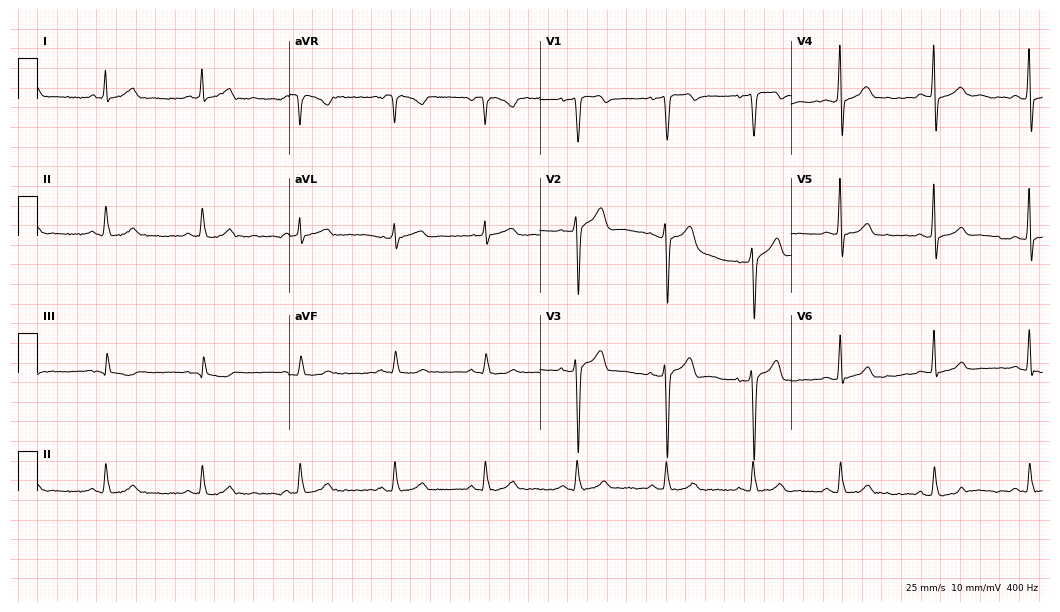
12-lead ECG from a male patient, 40 years old (10.2-second recording at 400 Hz). No first-degree AV block, right bundle branch block (RBBB), left bundle branch block (LBBB), sinus bradycardia, atrial fibrillation (AF) or sinus tachycardia recorded for this tracing. Other findings, if any, are not listed.